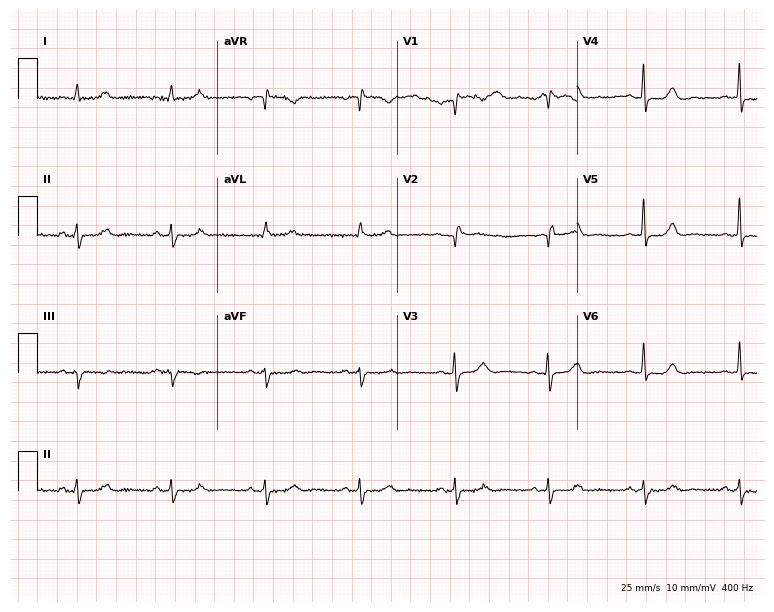
12-lead ECG from a woman, 56 years old. Screened for six findings — first-degree AV block, right bundle branch block, left bundle branch block, sinus bradycardia, atrial fibrillation, sinus tachycardia — none is recorded. Only these six findings were labelled.